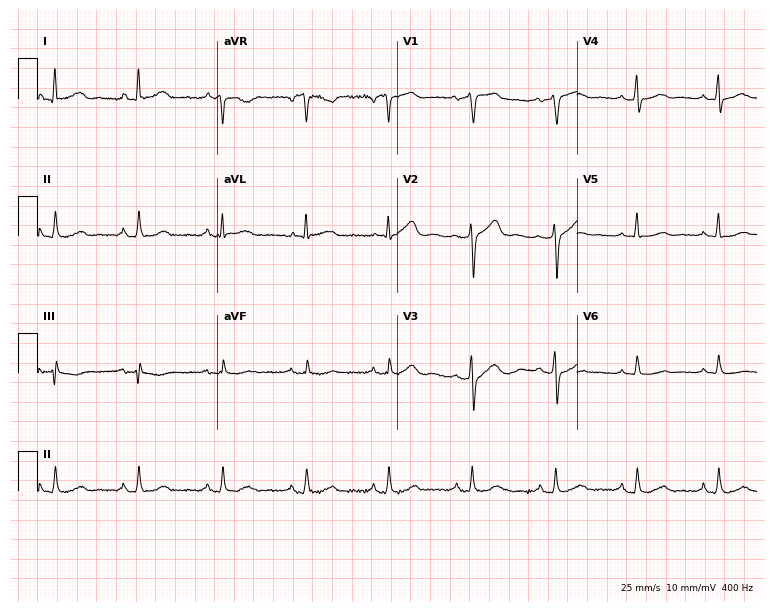
12-lead ECG (7.3-second recording at 400 Hz) from a 56-year-old female. Screened for six findings — first-degree AV block, right bundle branch block, left bundle branch block, sinus bradycardia, atrial fibrillation, sinus tachycardia — none is recorded. Only these six findings were labelled.